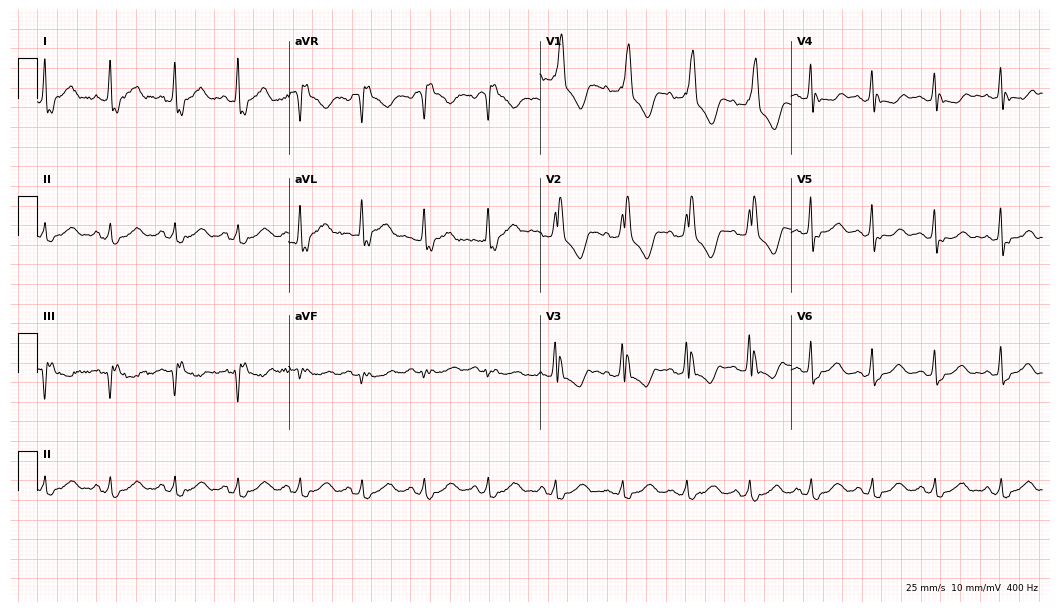
Standard 12-lead ECG recorded from a female patient, 58 years old. The tracing shows right bundle branch block (RBBB).